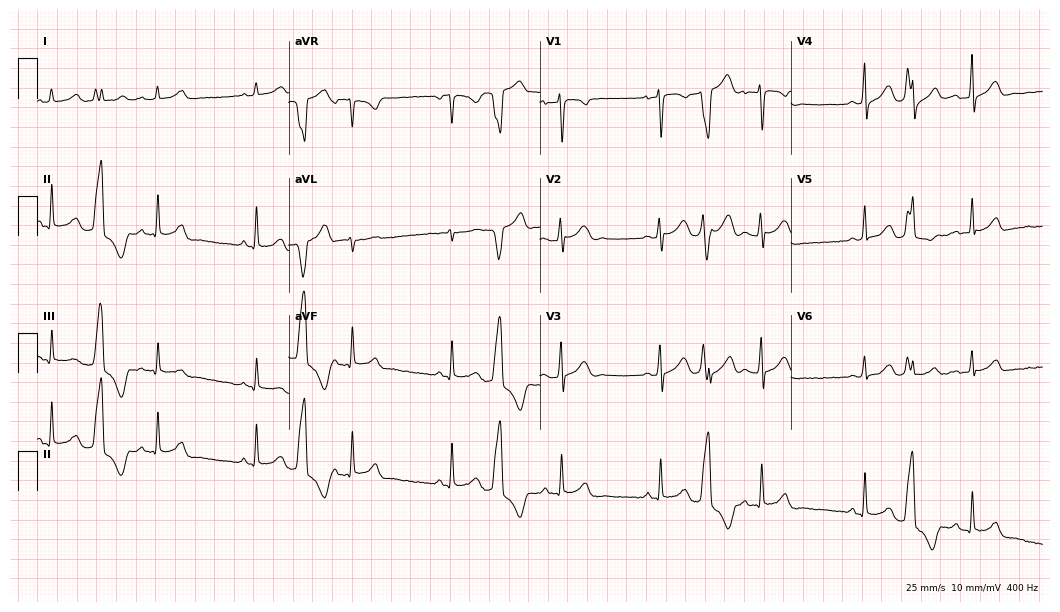
Resting 12-lead electrocardiogram. Patient: a 19-year-old female. None of these six findings is recorded: first-degree AV block, right bundle branch block, left bundle branch block, sinus bradycardia, atrial fibrillation, sinus tachycardia. Findings outside these six are not listed.